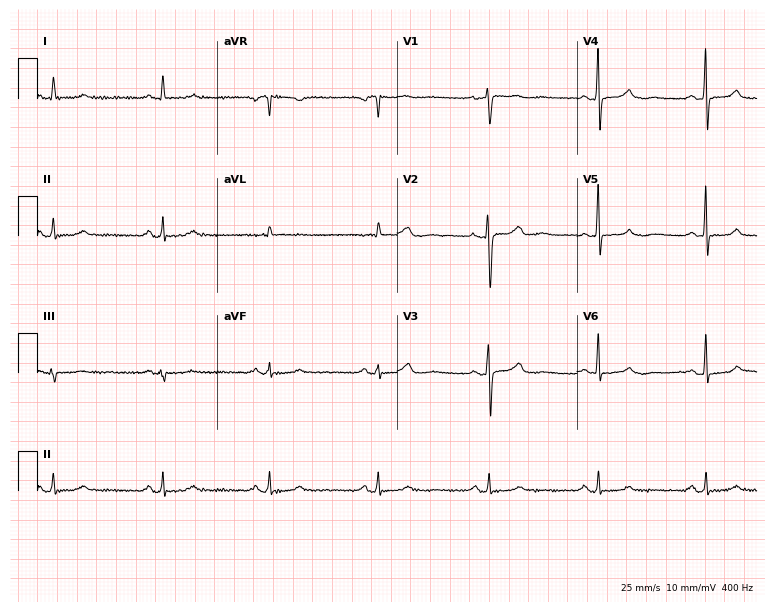
ECG (7.3-second recording at 400 Hz) — a 61-year-old female. Screened for six findings — first-degree AV block, right bundle branch block, left bundle branch block, sinus bradycardia, atrial fibrillation, sinus tachycardia — none is recorded. Other findings, if any, are not listed.